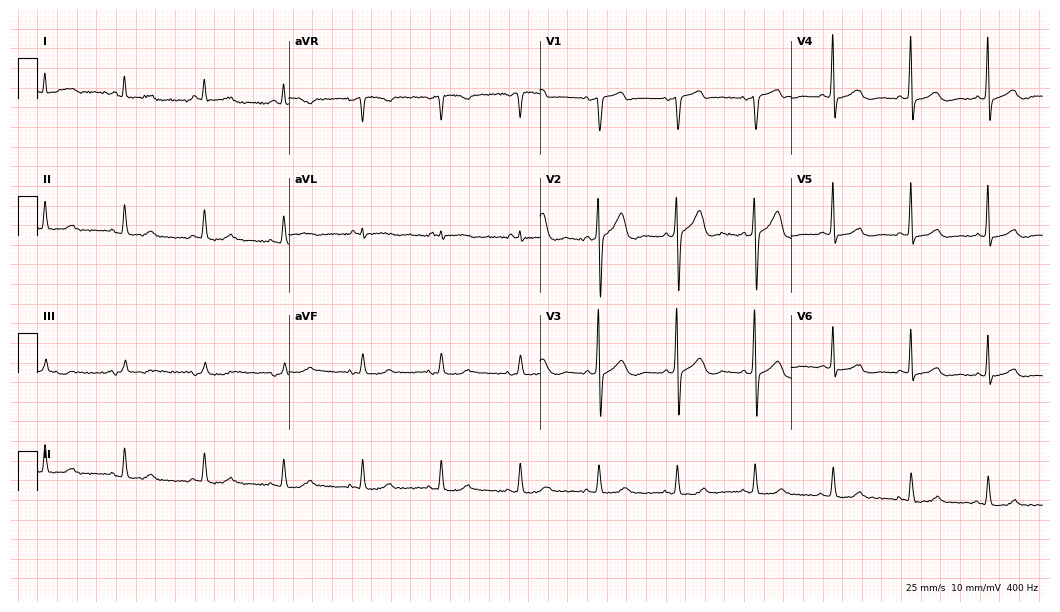
ECG — a man, 74 years old. Screened for six findings — first-degree AV block, right bundle branch block, left bundle branch block, sinus bradycardia, atrial fibrillation, sinus tachycardia — none is recorded.